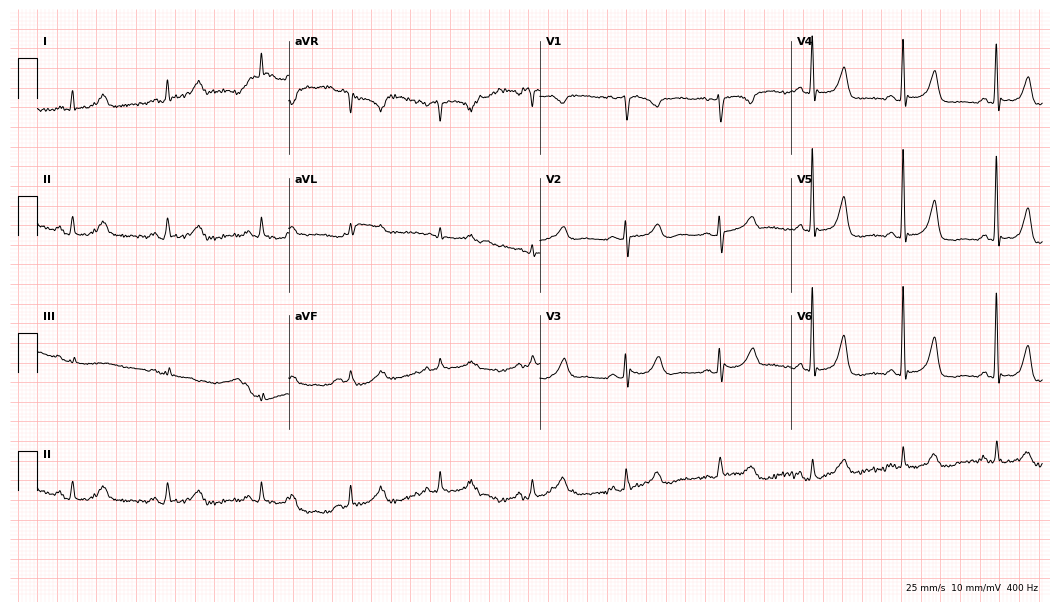
12-lead ECG (10.2-second recording at 400 Hz) from a 79-year-old female. Labelled as a normal ECG.